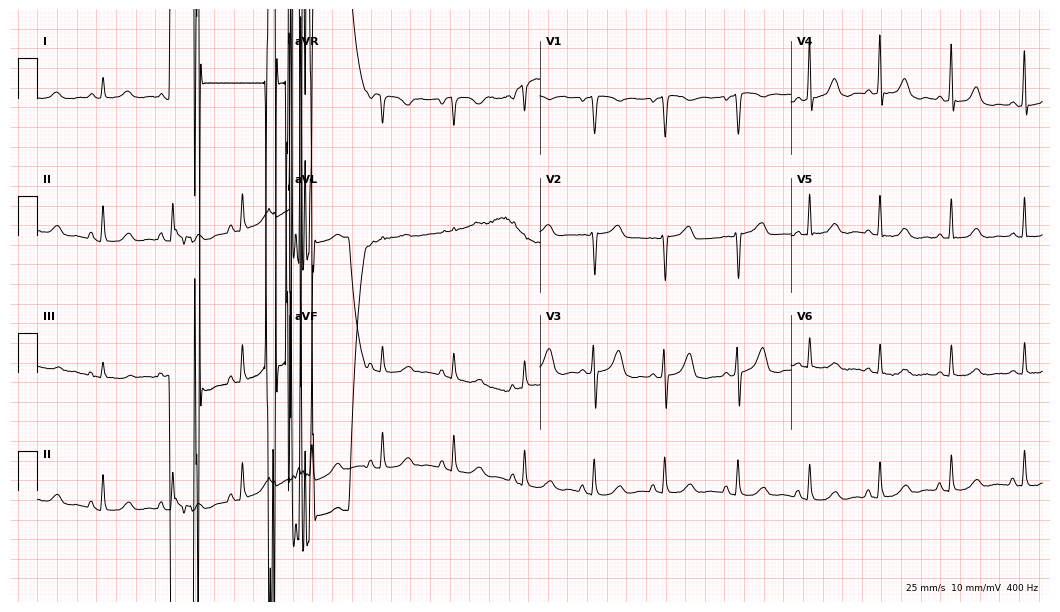
Electrocardiogram (10.2-second recording at 400 Hz), a female, 66 years old. Of the six screened findings (first-degree AV block, right bundle branch block, left bundle branch block, sinus bradycardia, atrial fibrillation, sinus tachycardia), none is recorded. Other findings, if any, are not listed.